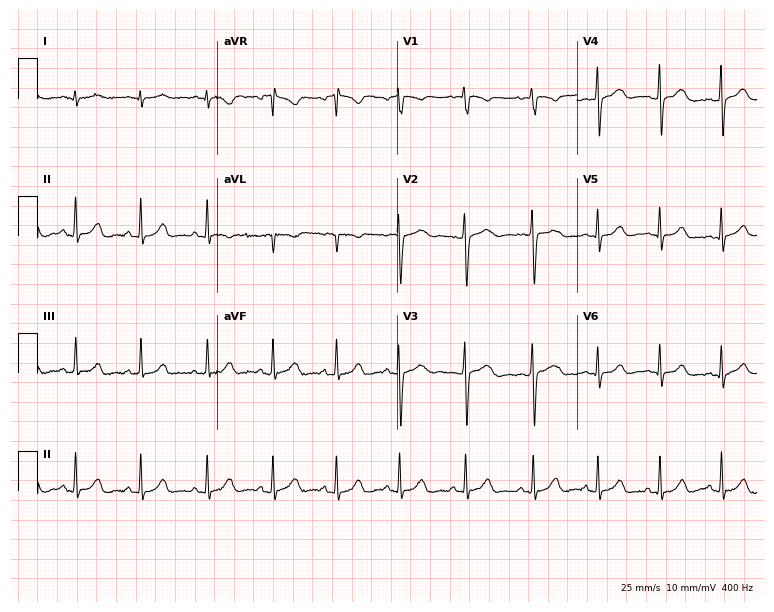
Electrocardiogram (7.3-second recording at 400 Hz), a 17-year-old woman. Of the six screened findings (first-degree AV block, right bundle branch block (RBBB), left bundle branch block (LBBB), sinus bradycardia, atrial fibrillation (AF), sinus tachycardia), none is recorded. Only these six findings were labelled.